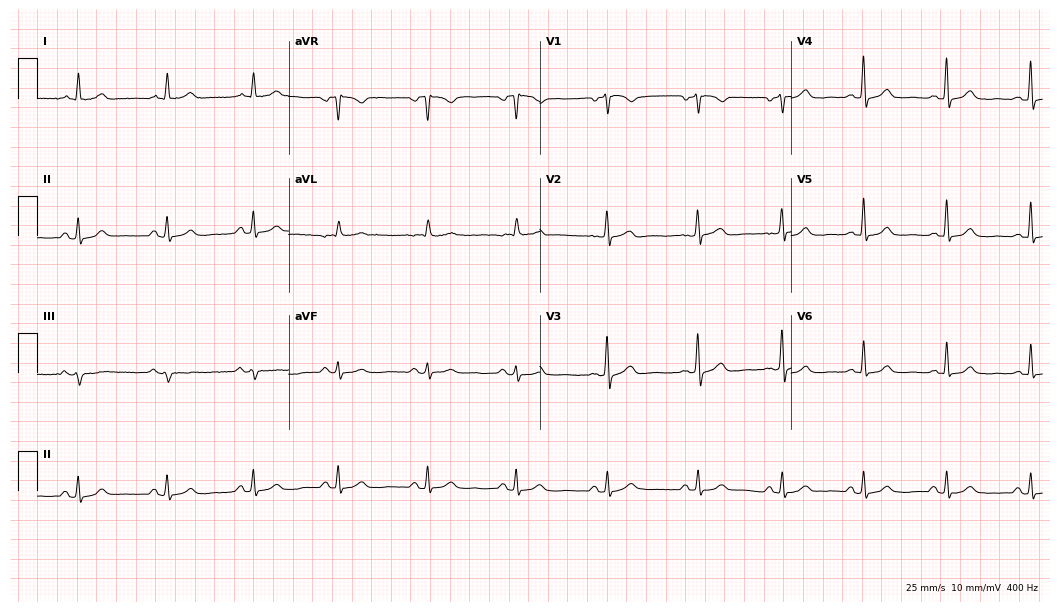
12-lead ECG from a woman, 60 years old (10.2-second recording at 400 Hz). Recorded interpretation: within normal limits.